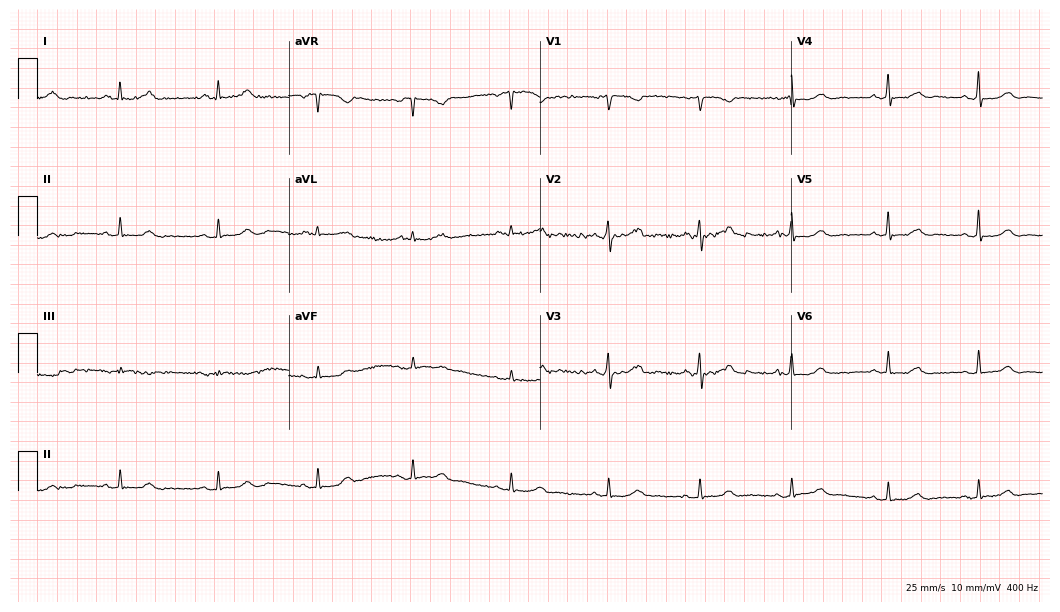
Electrocardiogram, a 52-year-old female. Overall reading on record: normal ECG.